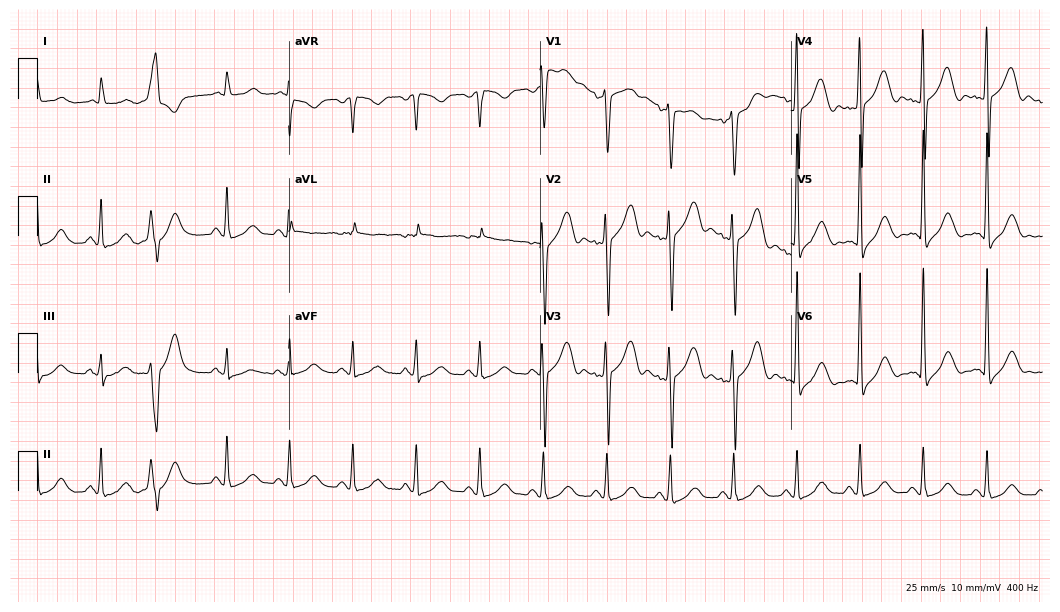
12-lead ECG from a man, 69 years old (10.2-second recording at 400 Hz). Recorded interpretation: within normal limits.